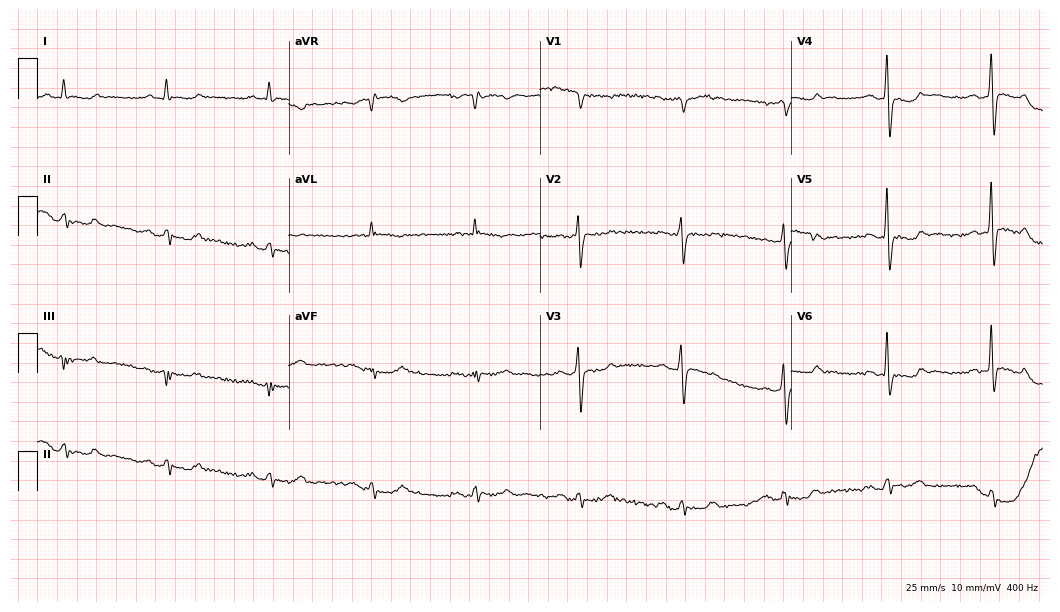
Electrocardiogram (10.2-second recording at 400 Hz), a 70-year-old male patient. Of the six screened findings (first-degree AV block, right bundle branch block, left bundle branch block, sinus bradycardia, atrial fibrillation, sinus tachycardia), none is recorded.